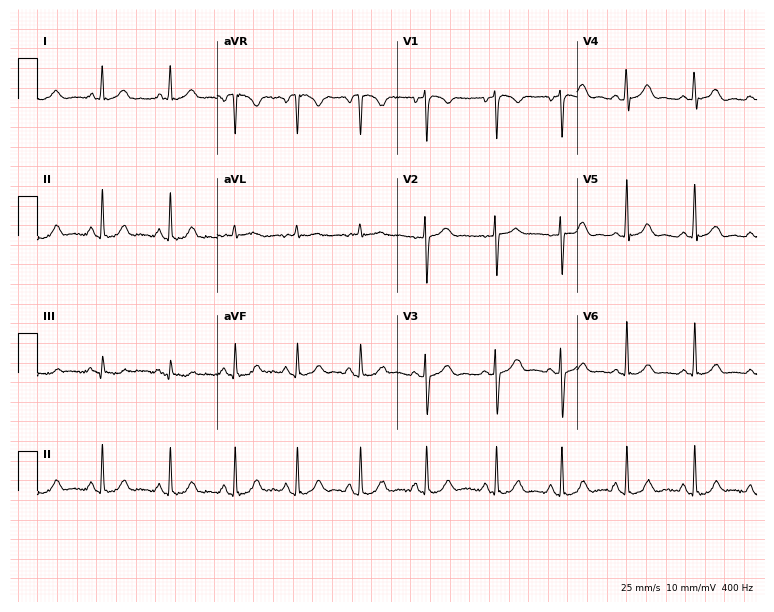
Resting 12-lead electrocardiogram. Patient: a 26-year-old female. Read as a normal ECG.